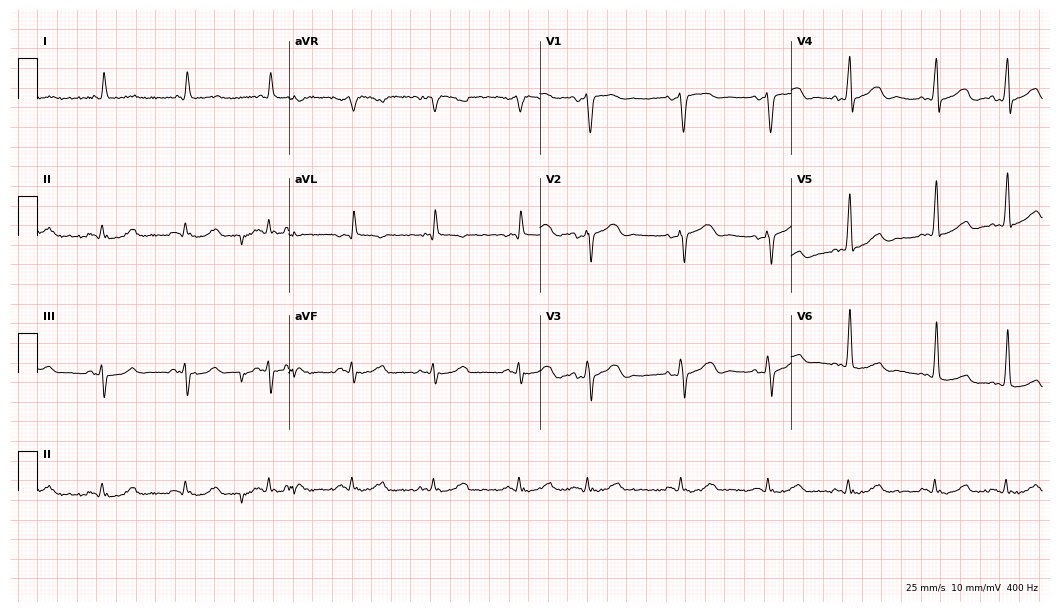
Resting 12-lead electrocardiogram (10.2-second recording at 400 Hz). Patient: an 84-year-old male. None of these six findings is recorded: first-degree AV block, right bundle branch block, left bundle branch block, sinus bradycardia, atrial fibrillation, sinus tachycardia.